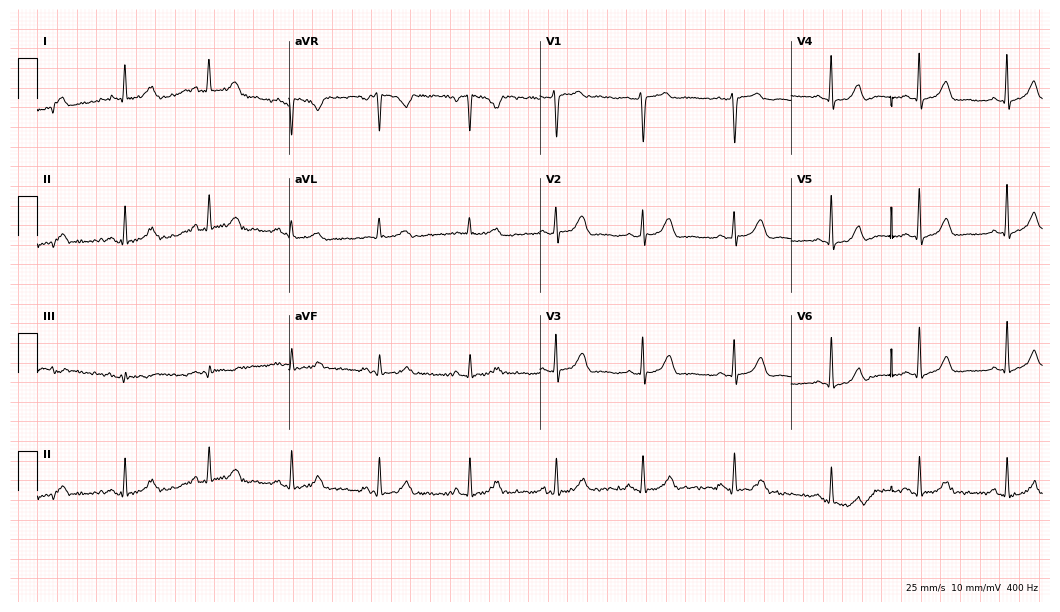
12-lead ECG (10.2-second recording at 400 Hz) from a 40-year-old woman. Labelled as a normal ECG.